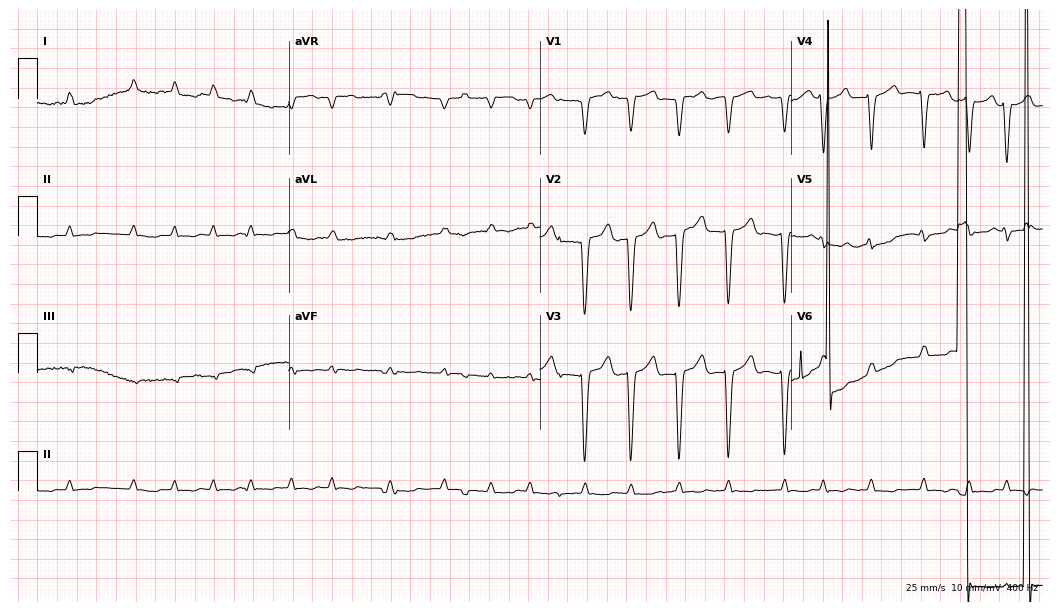
Resting 12-lead electrocardiogram (10.2-second recording at 400 Hz). Patient: an 85-year-old female. The tracing shows atrial fibrillation (AF).